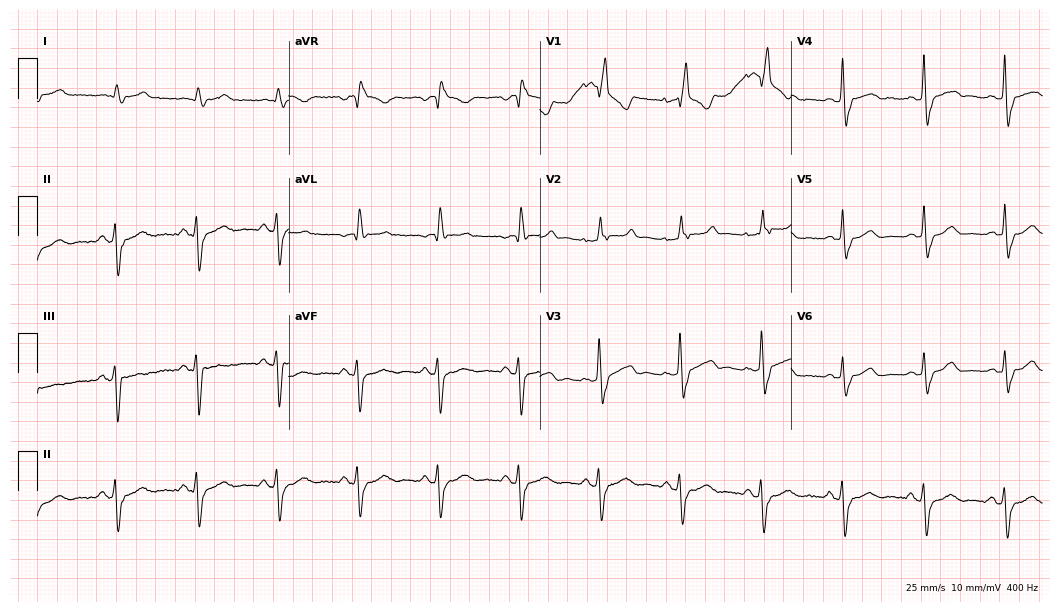
ECG — a man, 86 years old. Findings include right bundle branch block.